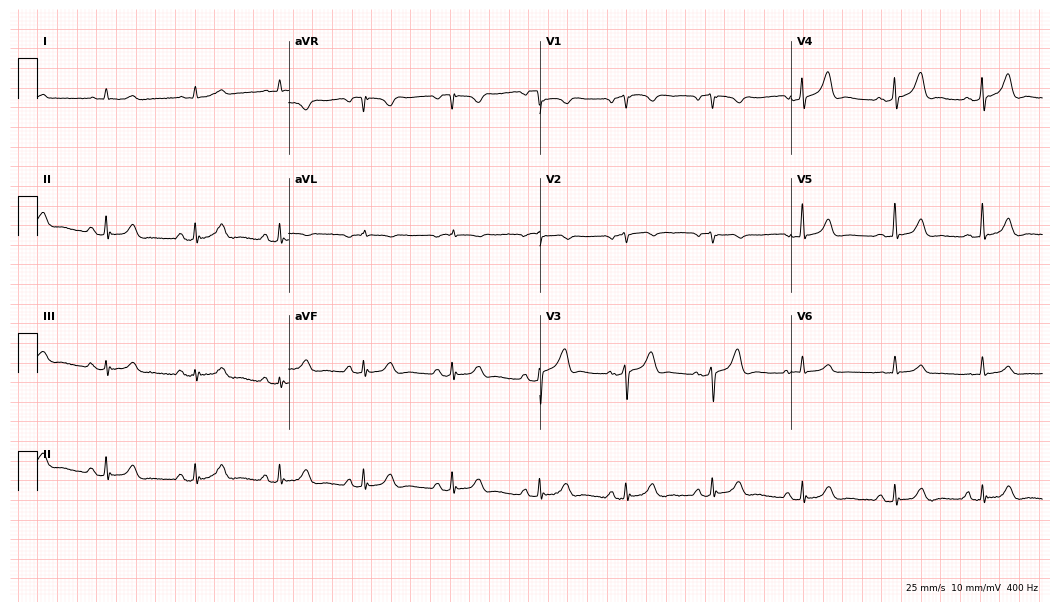
ECG (10.2-second recording at 400 Hz) — a male, 82 years old. Labelled as a normal ECG.